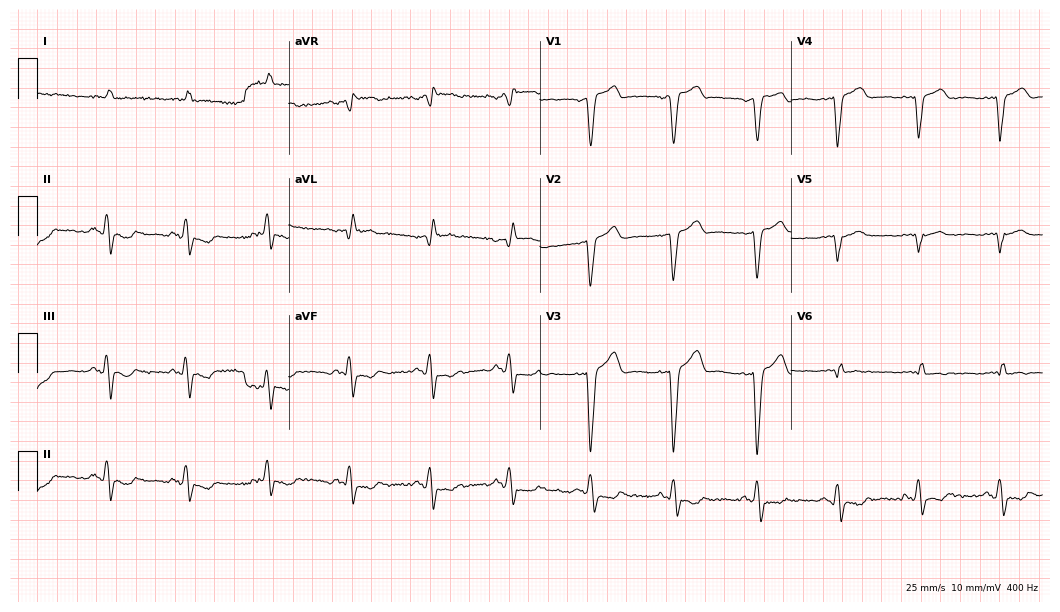
Standard 12-lead ECG recorded from a man, 84 years old (10.2-second recording at 400 Hz). None of these six findings is recorded: first-degree AV block, right bundle branch block (RBBB), left bundle branch block (LBBB), sinus bradycardia, atrial fibrillation (AF), sinus tachycardia.